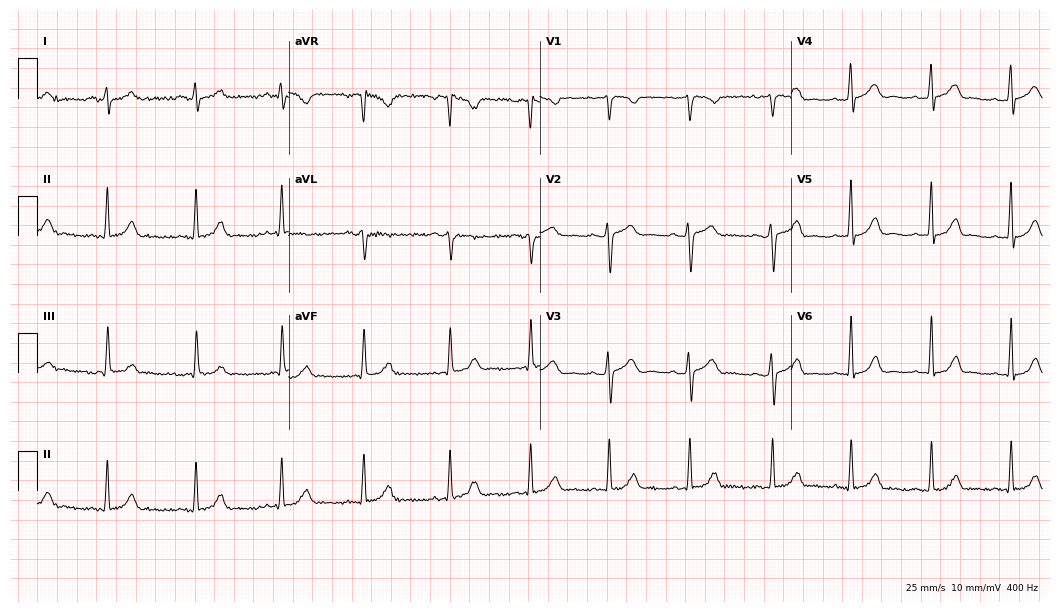
ECG (10.2-second recording at 400 Hz) — a 31-year-old female. Labelled as a normal ECG.